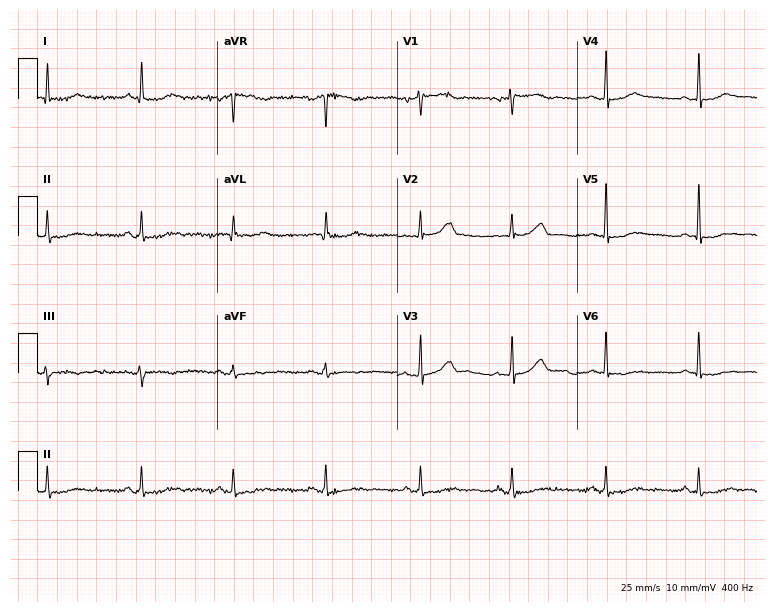
Standard 12-lead ECG recorded from a woman, 58 years old (7.3-second recording at 400 Hz). None of these six findings is recorded: first-degree AV block, right bundle branch block, left bundle branch block, sinus bradycardia, atrial fibrillation, sinus tachycardia. Findings outside these six are not listed.